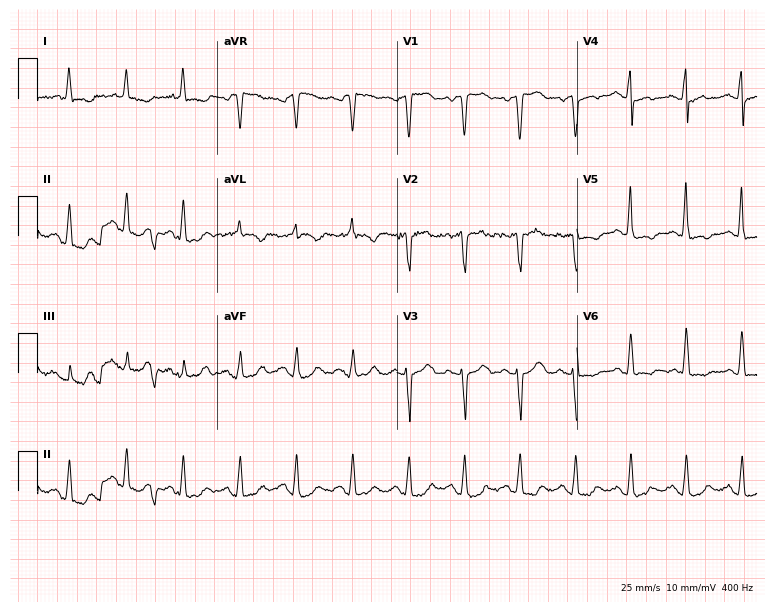
Resting 12-lead electrocardiogram. Patient: a female, 58 years old. The tracing shows sinus tachycardia (a sinus rate of 100 beats per minute or more).